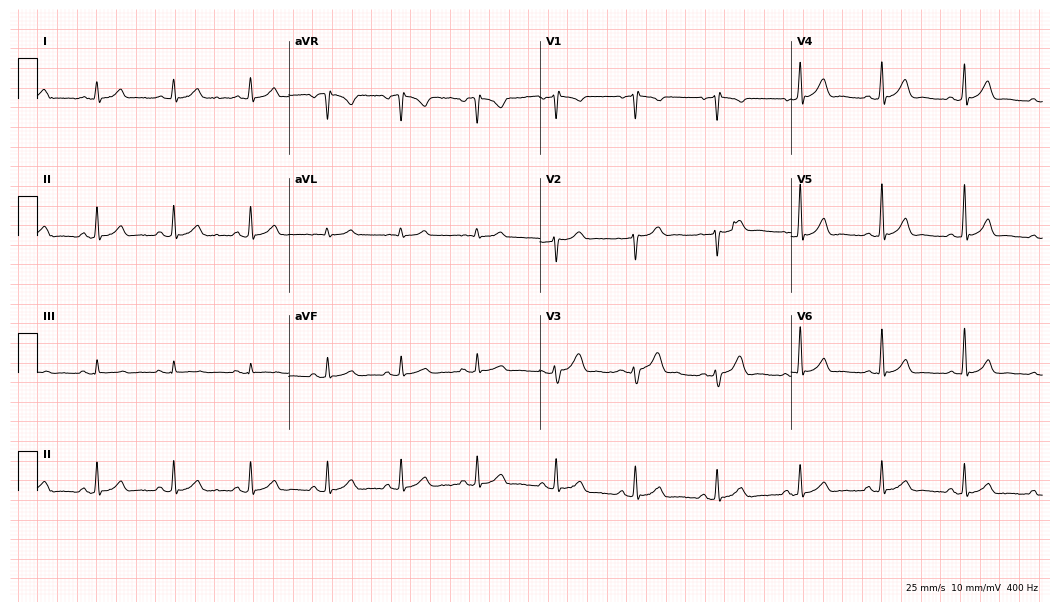
Resting 12-lead electrocardiogram. Patient: a 50-year-old female. Read as a normal ECG.